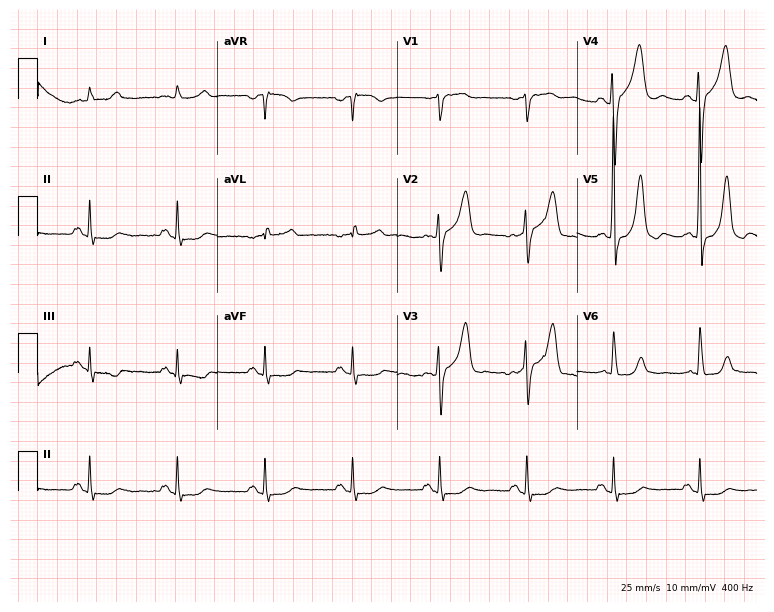
ECG — a male, 79 years old. Screened for six findings — first-degree AV block, right bundle branch block (RBBB), left bundle branch block (LBBB), sinus bradycardia, atrial fibrillation (AF), sinus tachycardia — none is recorded.